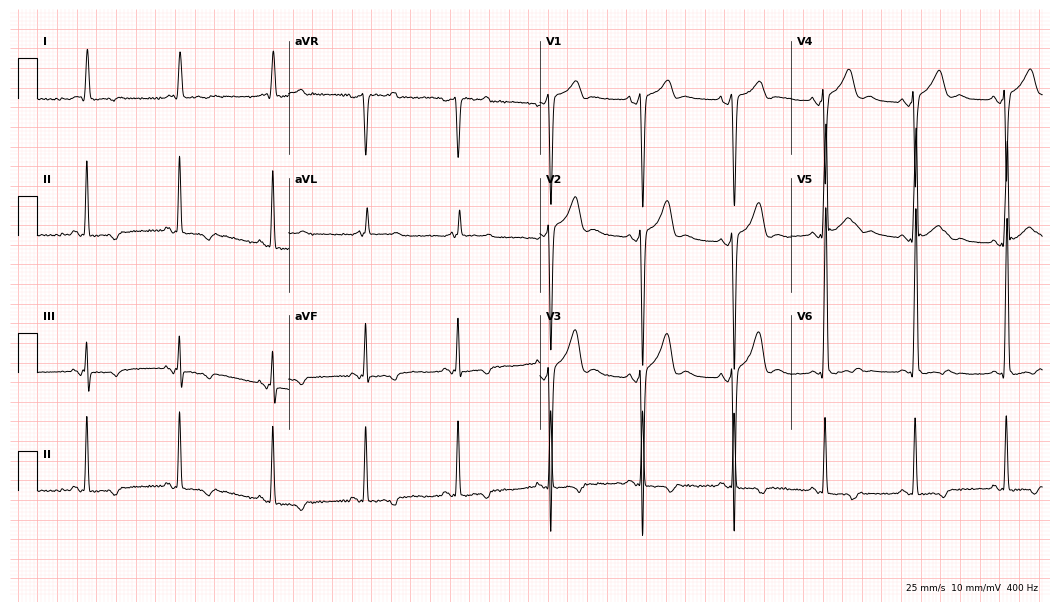
Electrocardiogram, a 47-year-old male patient. Of the six screened findings (first-degree AV block, right bundle branch block (RBBB), left bundle branch block (LBBB), sinus bradycardia, atrial fibrillation (AF), sinus tachycardia), none is recorded.